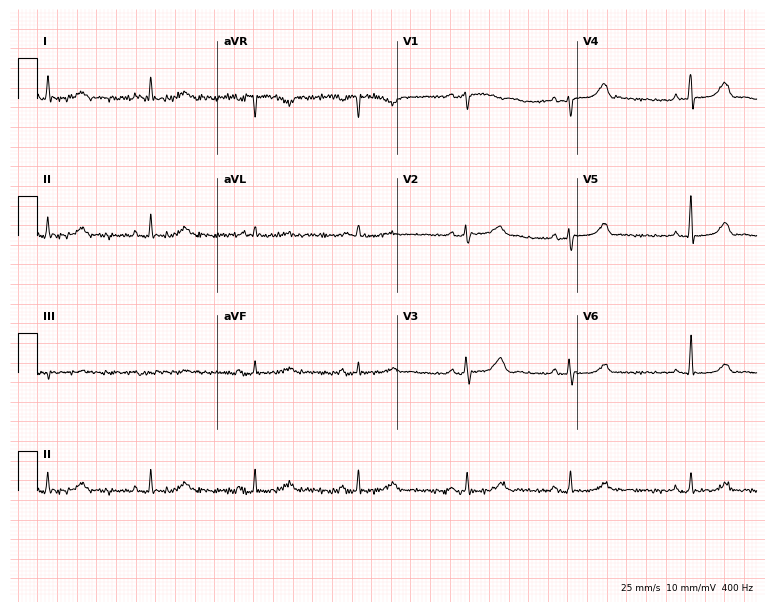
ECG — a 63-year-old female. Labelled as a normal ECG.